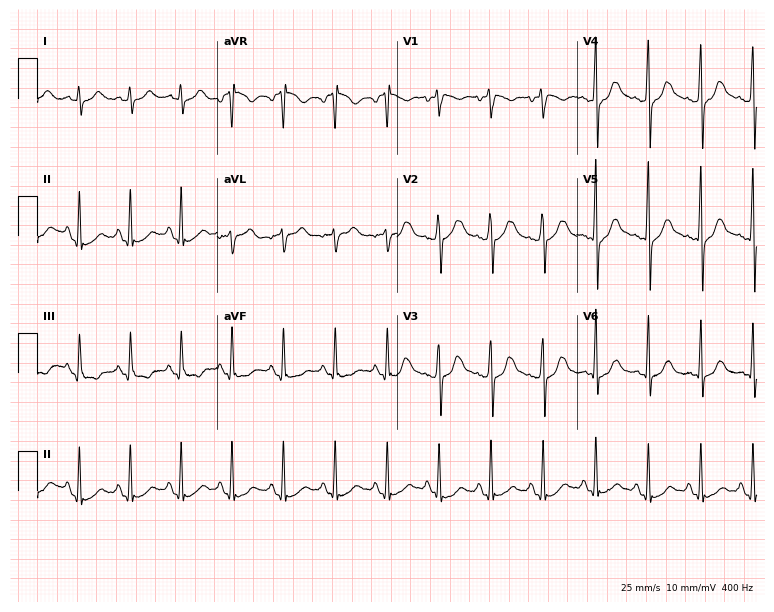
Electrocardiogram (7.3-second recording at 400 Hz), a 40-year-old male patient. Interpretation includes sinus tachycardia (a sinus rate of 100 beats per minute or more).